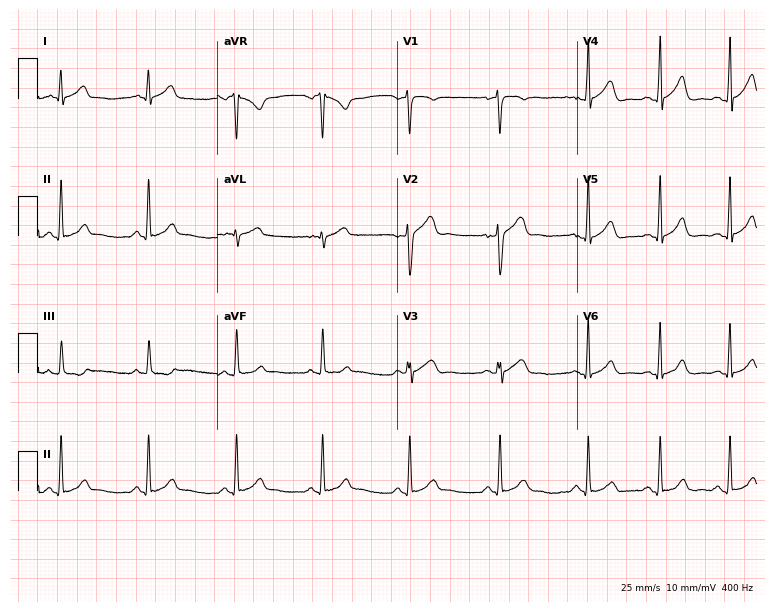
12-lead ECG from a female, 20 years old. Recorded interpretation: within normal limits.